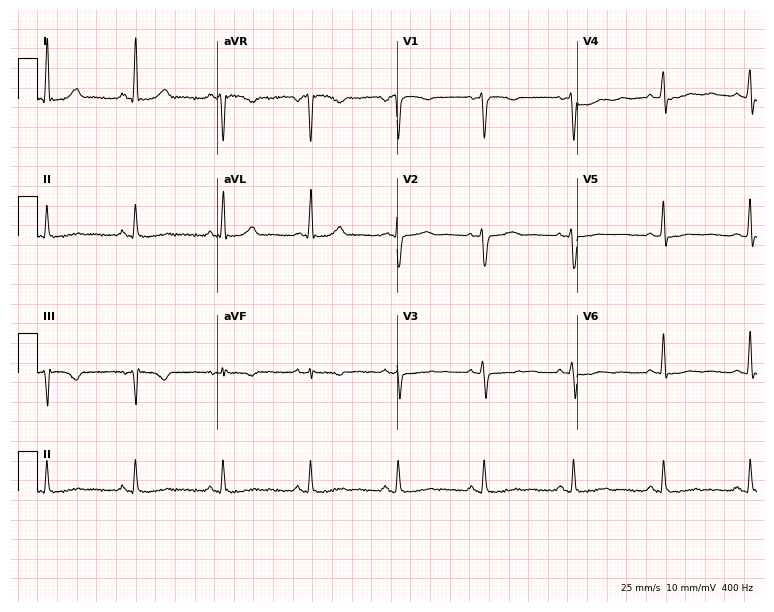
12-lead ECG from a female, 49 years old. Screened for six findings — first-degree AV block, right bundle branch block, left bundle branch block, sinus bradycardia, atrial fibrillation, sinus tachycardia — none is recorded. Only these six findings were labelled.